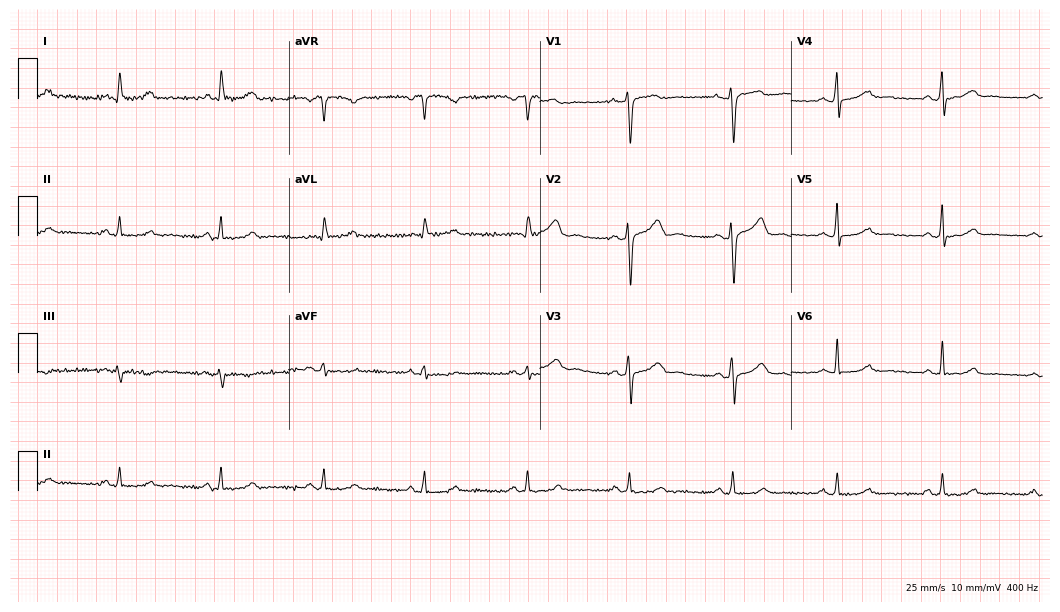
ECG (10.2-second recording at 400 Hz) — a 29-year-old female patient. Labelled as a normal ECG.